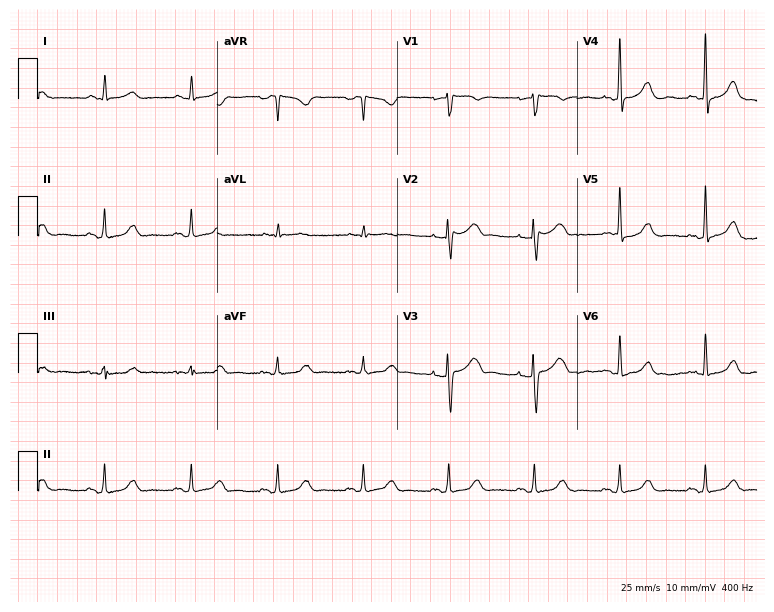
Electrocardiogram, a 68-year-old woman. Of the six screened findings (first-degree AV block, right bundle branch block (RBBB), left bundle branch block (LBBB), sinus bradycardia, atrial fibrillation (AF), sinus tachycardia), none is recorded.